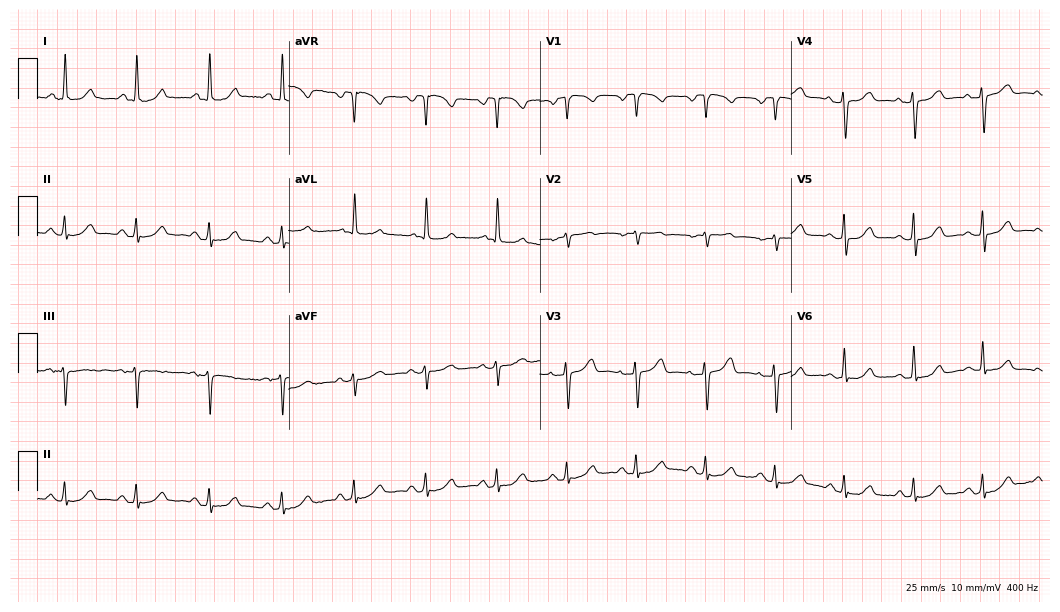
ECG — a woman, 68 years old. Labelled as a normal ECG.